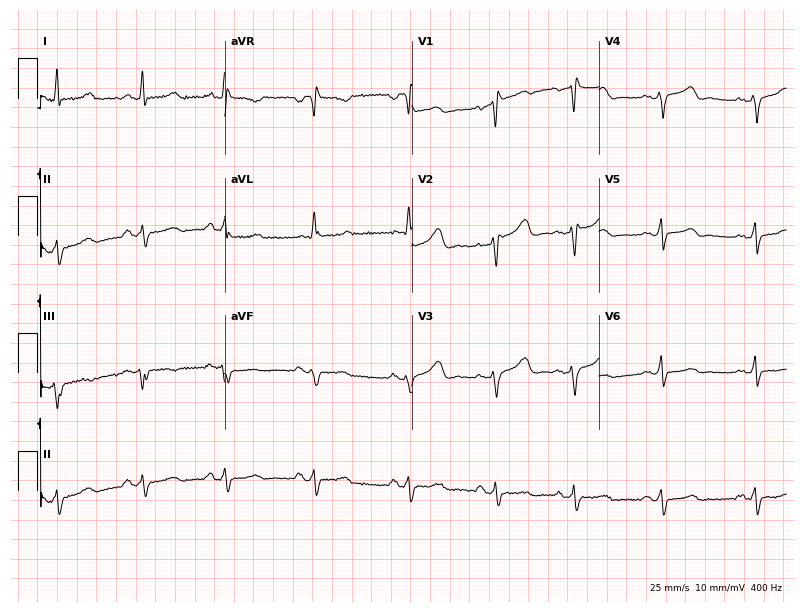
ECG (7.6-second recording at 400 Hz) — a female patient, 48 years old. Screened for six findings — first-degree AV block, right bundle branch block (RBBB), left bundle branch block (LBBB), sinus bradycardia, atrial fibrillation (AF), sinus tachycardia — none is recorded.